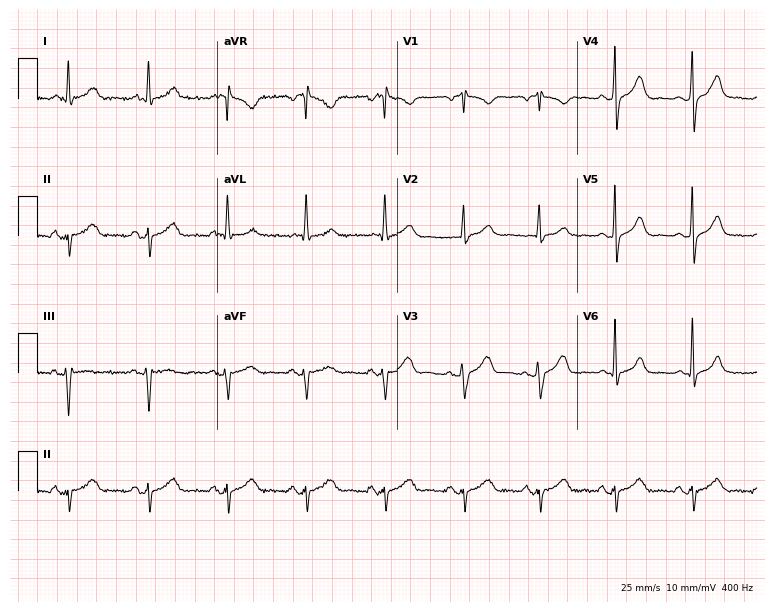
Electrocardiogram, a female patient, 61 years old. Of the six screened findings (first-degree AV block, right bundle branch block, left bundle branch block, sinus bradycardia, atrial fibrillation, sinus tachycardia), none is recorded.